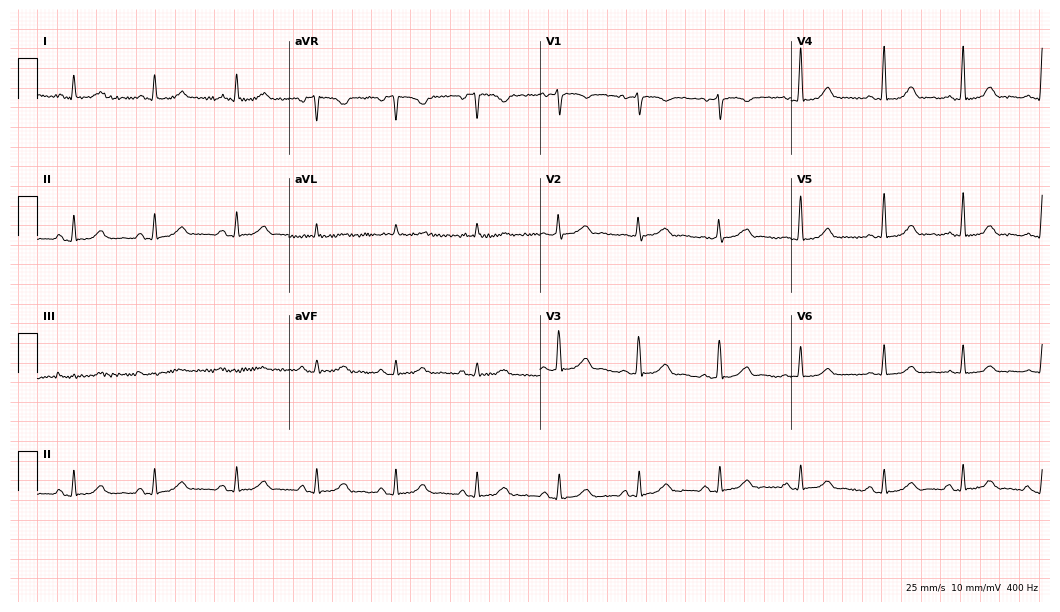
ECG — a 47-year-old female patient. Screened for six findings — first-degree AV block, right bundle branch block, left bundle branch block, sinus bradycardia, atrial fibrillation, sinus tachycardia — none is recorded.